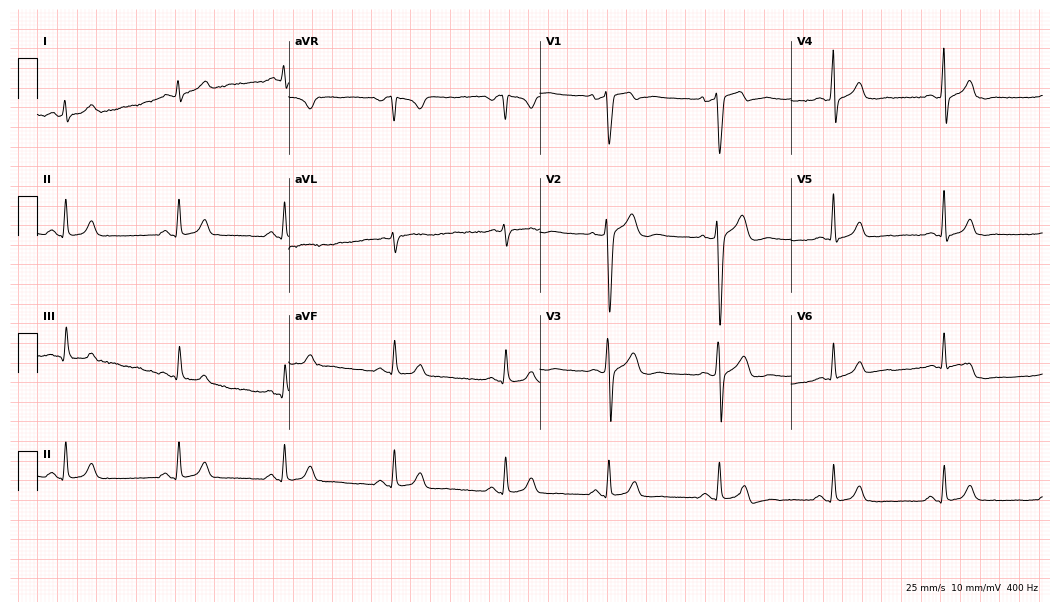
ECG (10.2-second recording at 400 Hz) — a 40-year-old male patient. Labelled as a normal ECG.